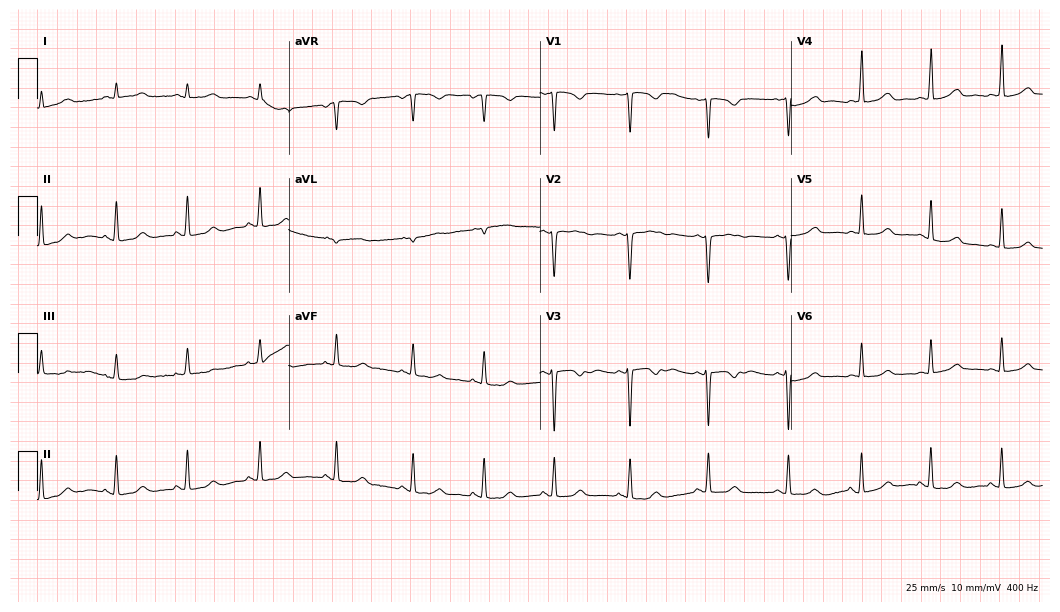
Electrocardiogram (10.2-second recording at 400 Hz), a 17-year-old woman. Of the six screened findings (first-degree AV block, right bundle branch block, left bundle branch block, sinus bradycardia, atrial fibrillation, sinus tachycardia), none is recorded. Other findings, if any, are not listed.